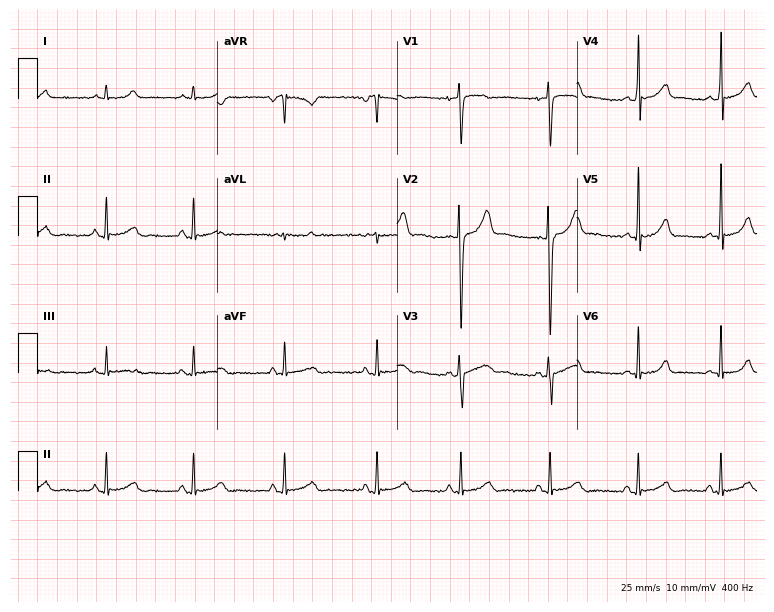
Standard 12-lead ECG recorded from a 17-year-old female patient. Read as a normal ECG.